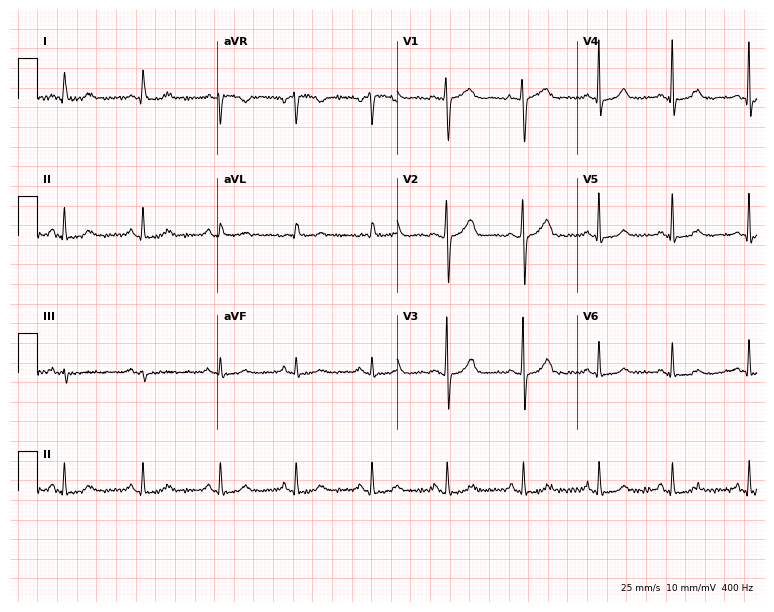
12-lead ECG from a female, 37 years old. Screened for six findings — first-degree AV block, right bundle branch block (RBBB), left bundle branch block (LBBB), sinus bradycardia, atrial fibrillation (AF), sinus tachycardia — none is recorded.